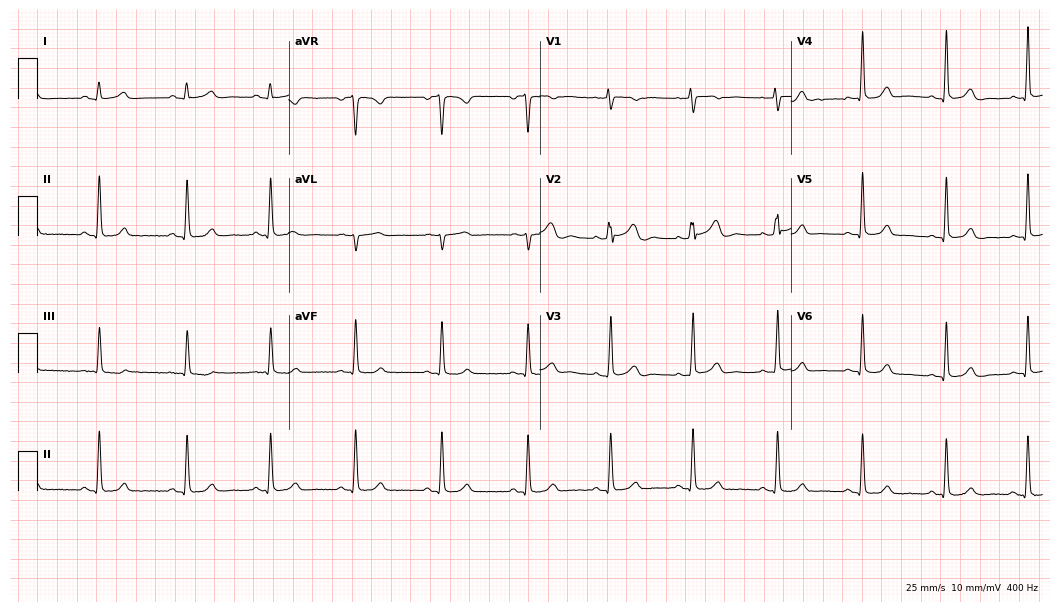
ECG (10.2-second recording at 400 Hz) — a 40-year-old female. Labelled as a normal ECG.